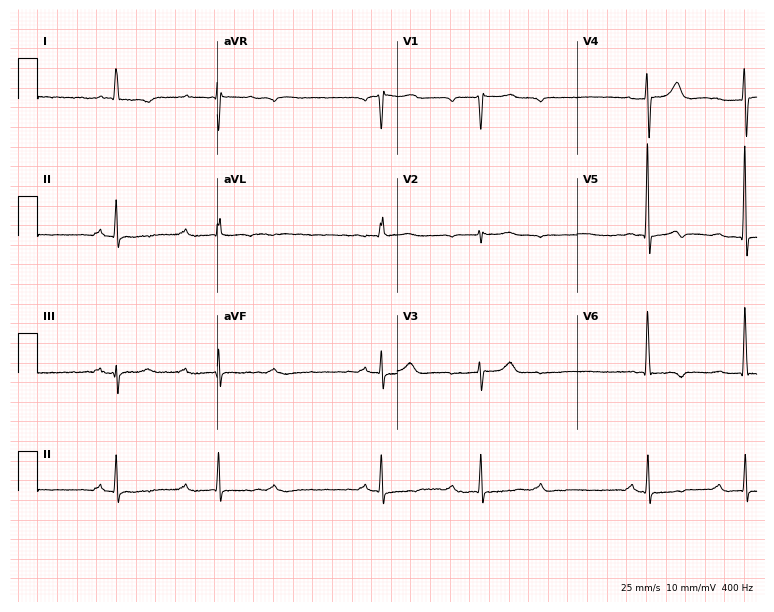
Resting 12-lead electrocardiogram (7.3-second recording at 400 Hz). Patient: a 68-year-old male. None of these six findings is recorded: first-degree AV block, right bundle branch block, left bundle branch block, sinus bradycardia, atrial fibrillation, sinus tachycardia.